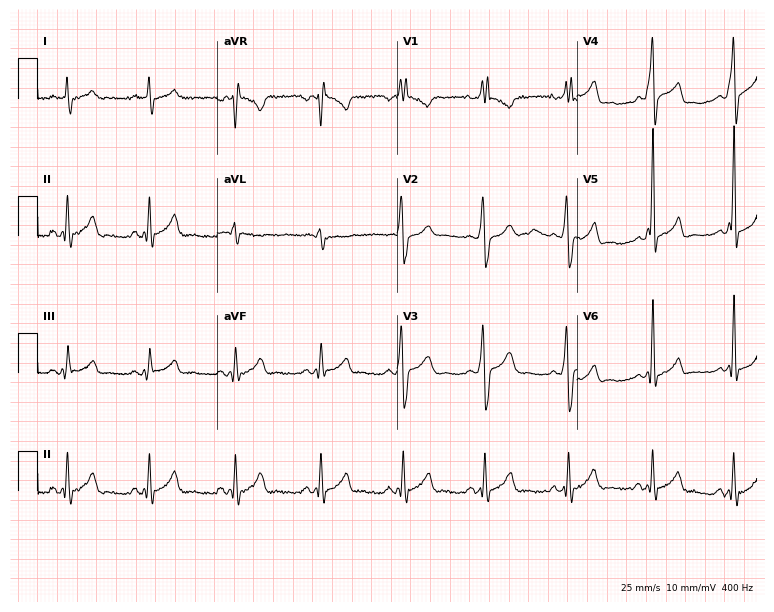
Resting 12-lead electrocardiogram (7.3-second recording at 400 Hz). Patient: a 26-year-old male. The tracing shows right bundle branch block.